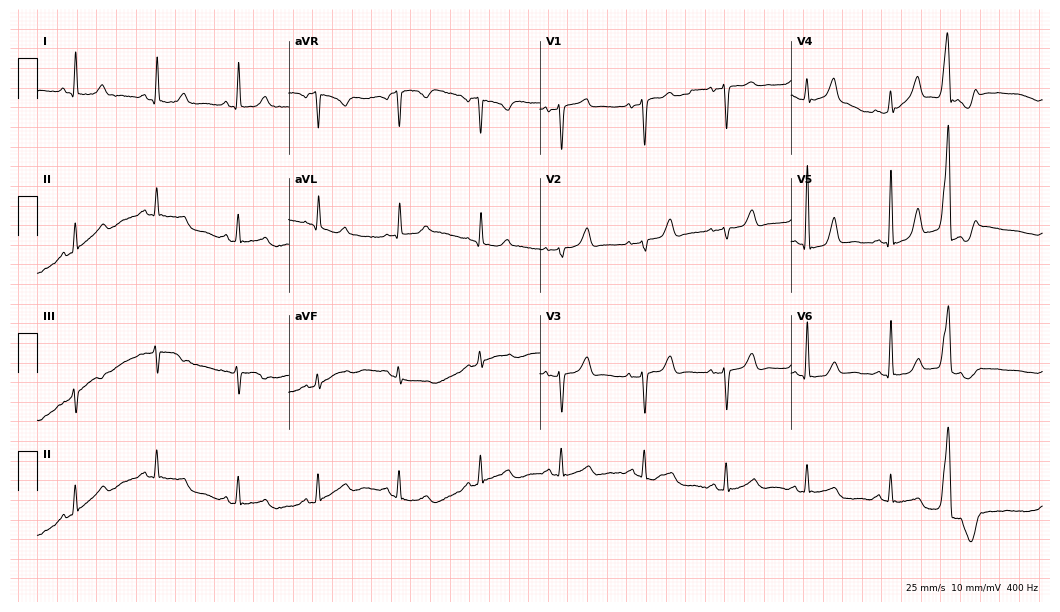
ECG (10.2-second recording at 400 Hz) — an 85-year-old female patient. Screened for six findings — first-degree AV block, right bundle branch block, left bundle branch block, sinus bradycardia, atrial fibrillation, sinus tachycardia — none is recorded. Only these six findings were labelled.